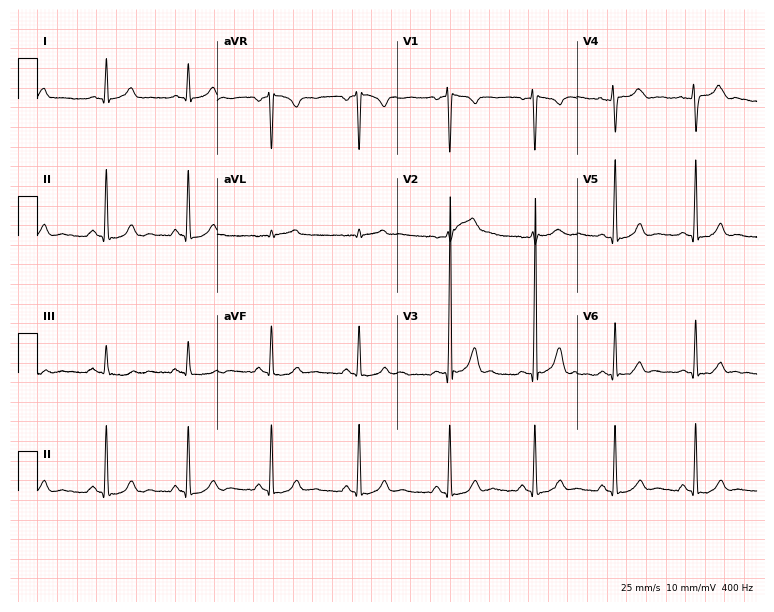
12-lead ECG (7.3-second recording at 400 Hz) from a 41-year-old male. Labelled as a normal ECG.